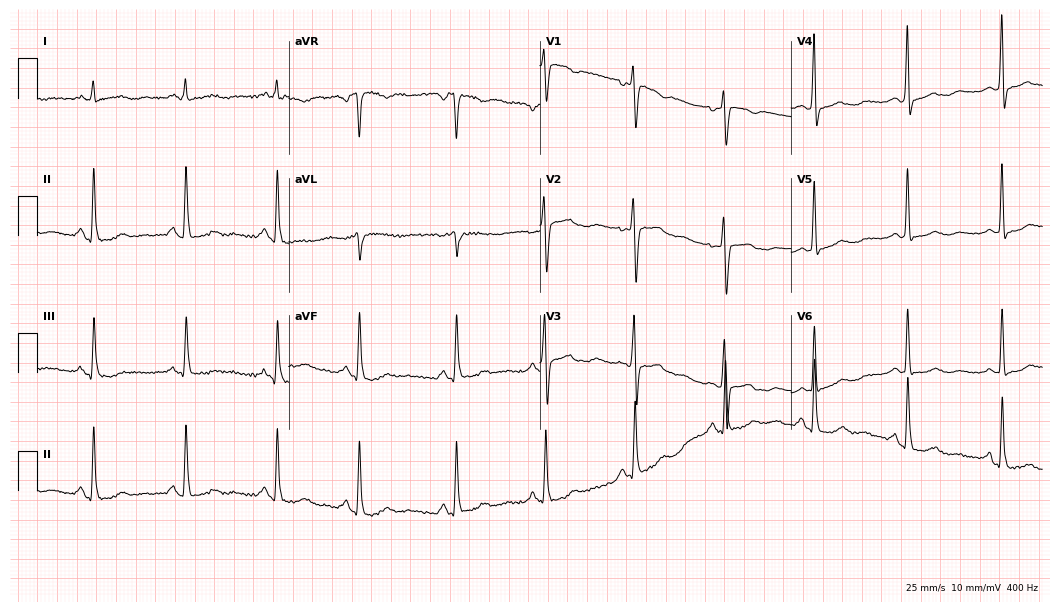
Standard 12-lead ECG recorded from a female patient, 60 years old (10.2-second recording at 400 Hz). None of these six findings is recorded: first-degree AV block, right bundle branch block (RBBB), left bundle branch block (LBBB), sinus bradycardia, atrial fibrillation (AF), sinus tachycardia. Other findings, if any, are not listed.